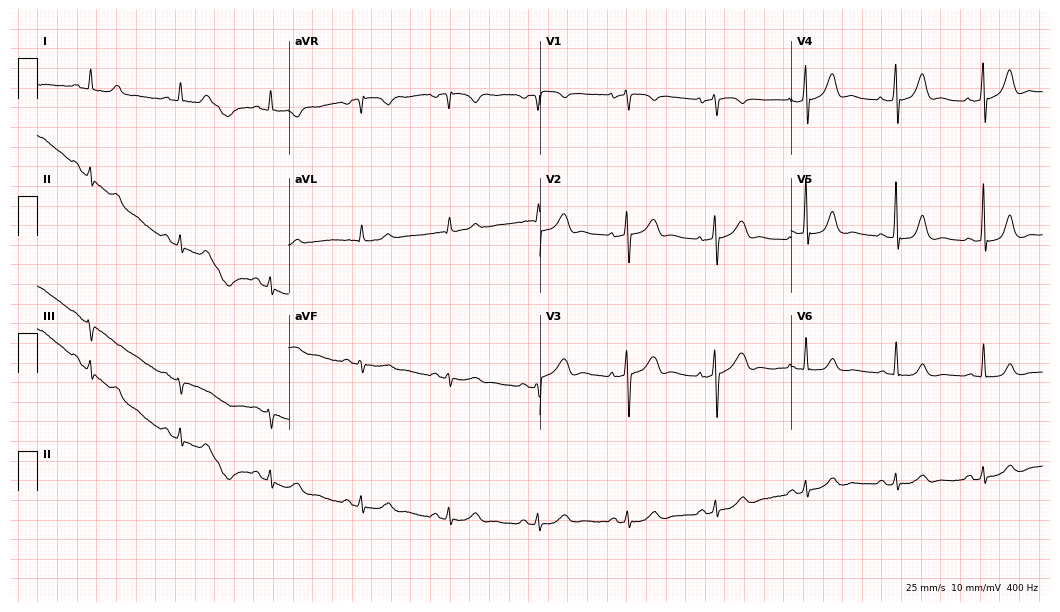
12-lead ECG from a 57-year-old woman (10.2-second recording at 400 Hz). Recorded interpretation: within normal limits.